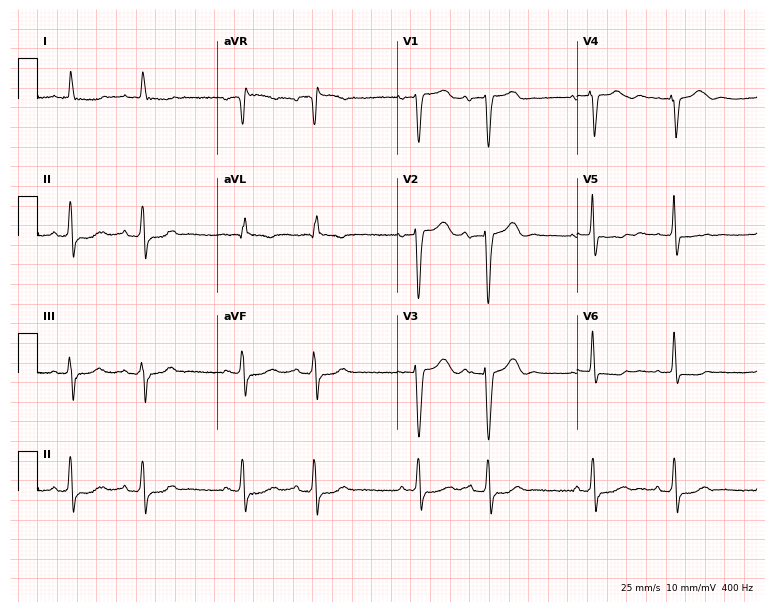
Electrocardiogram, a 74-year-old female patient. Of the six screened findings (first-degree AV block, right bundle branch block, left bundle branch block, sinus bradycardia, atrial fibrillation, sinus tachycardia), none is recorded. Findings outside these six are not listed.